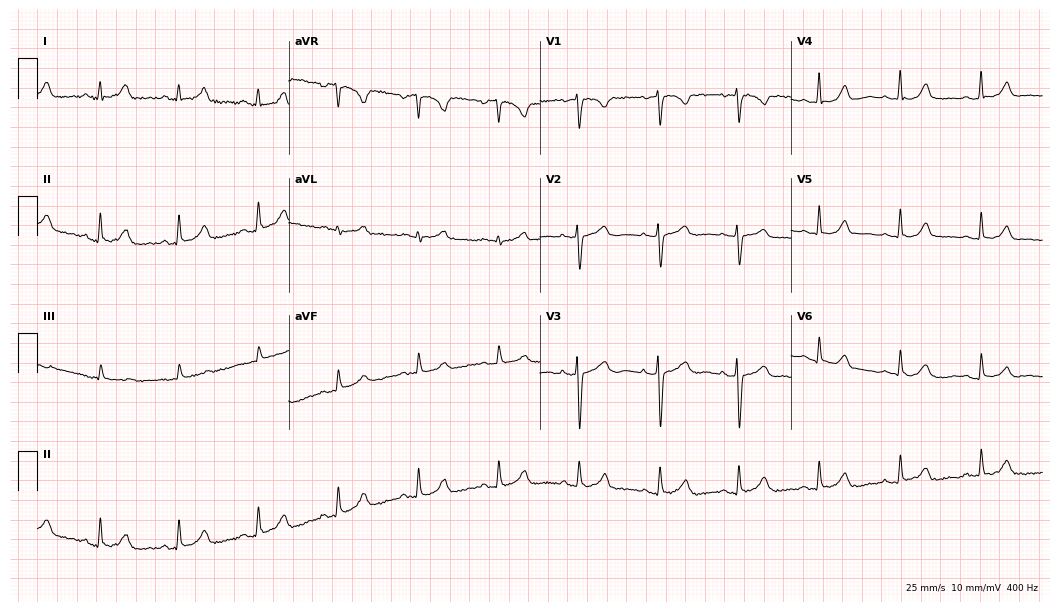
ECG (10.2-second recording at 400 Hz) — a female, 36 years old. Labelled as a normal ECG.